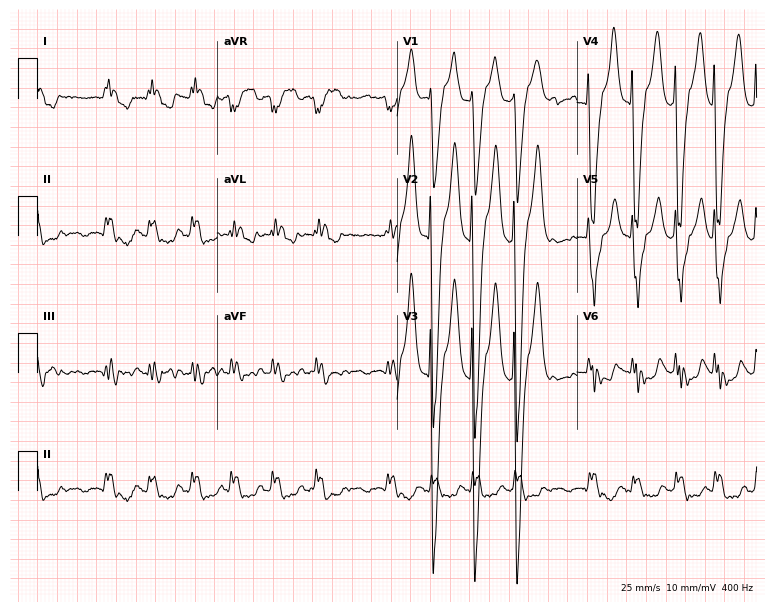
Electrocardiogram, a woman, 69 years old. Interpretation includes left bundle branch block.